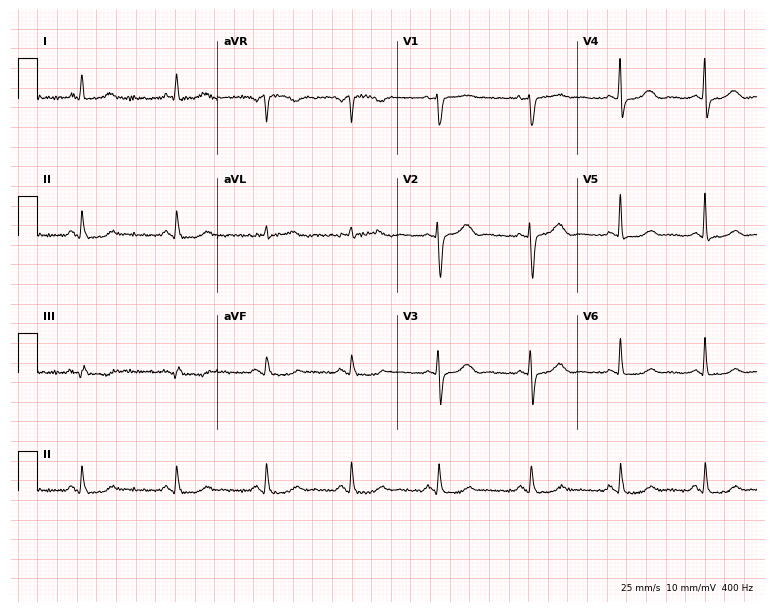
12-lead ECG (7.3-second recording at 400 Hz) from a 65-year-old female patient. Screened for six findings — first-degree AV block, right bundle branch block, left bundle branch block, sinus bradycardia, atrial fibrillation, sinus tachycardia — none is recorded.